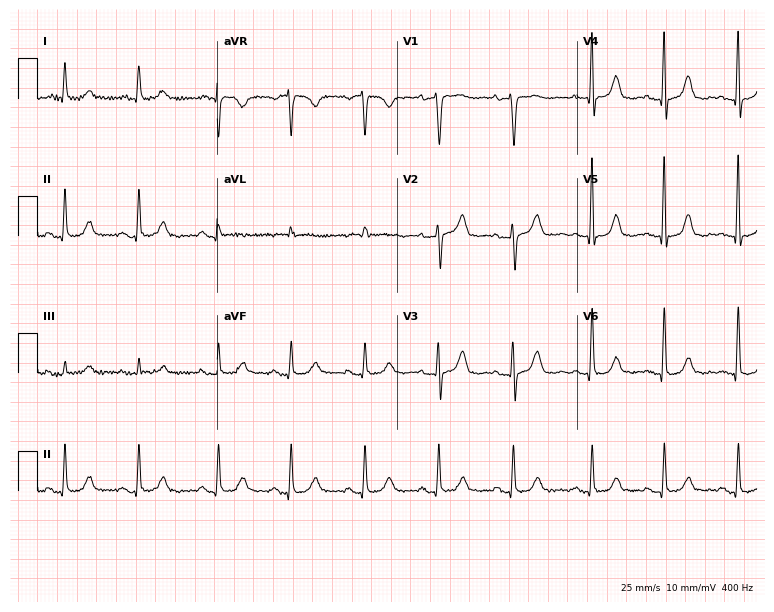
ECG — an 85-year-old female. Screened for six findings — first-degree AV block, right bundle branch block, left bundle branch block, sinus bradycardia, atrial fibrillation, sinus tachycardia — none is recorded.